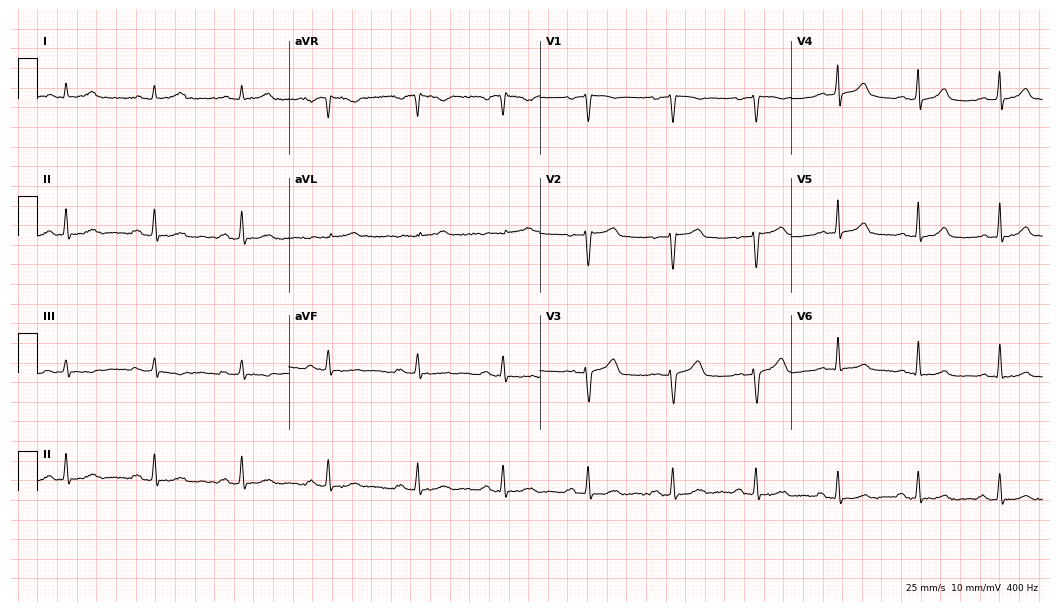
12-lead ECG (10.2-second recording at 400 Hz) from a female, 50 years old. Labelled as a normal ECG.